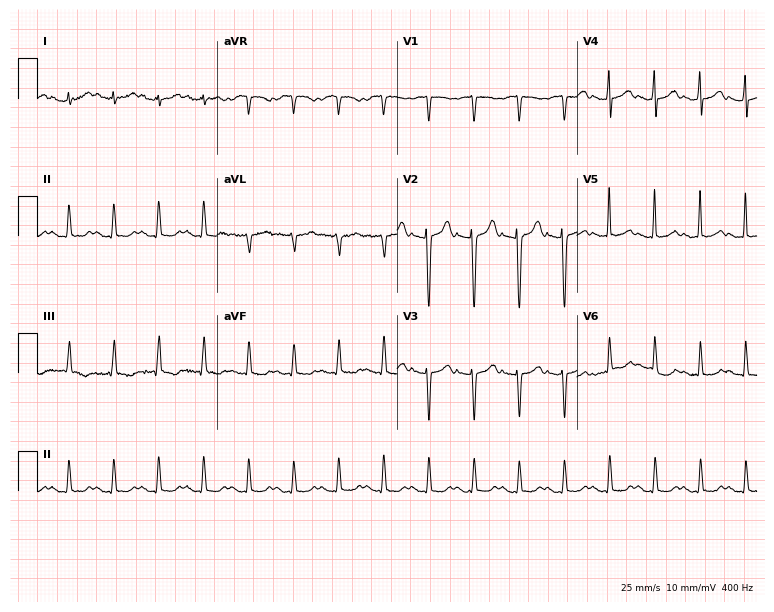
Standard 12-lead ECG recorded from a female patient, 47 years old. None of these six findings is recorded: first-degree AV block, right bundle branch block, left bundle branch block, sinus bradycardia, atrial fibrillation, sinus tachycardia.